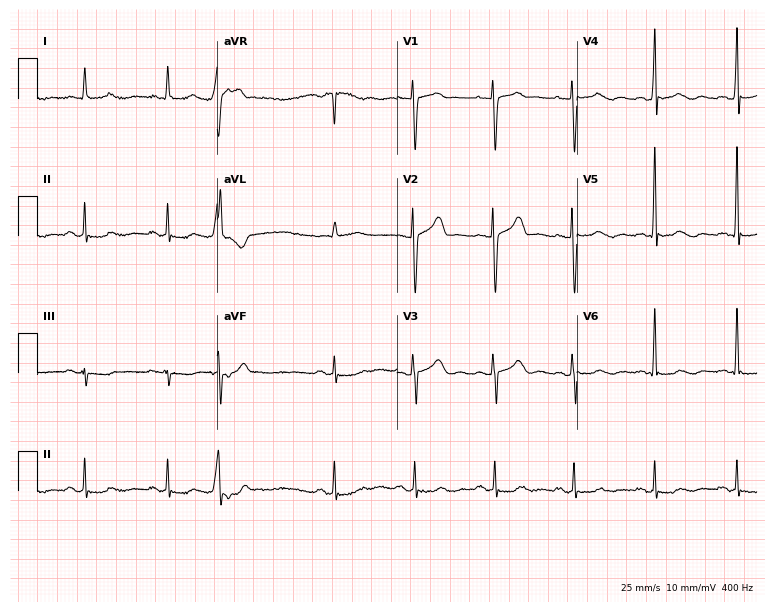
Electrocardiogram (7.3-second recording at 400 Hz), a male, 76 years old. Of the six screened findings (first-degree AV block, right bundle branch block, left bundle branch block, sinus bradycardia, atrial fibrillation, sinus tachycardia), none is recorded. Only these six findings were labelled.